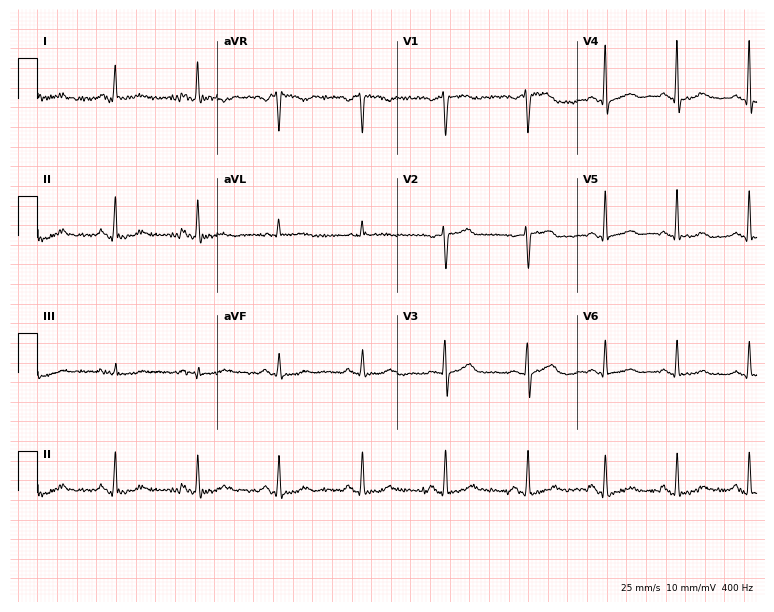
12-lead ECG (7.3-second recording at 400 Hz) from a 57-year-old female patient. Screened for six findings — first-degree AV block, right bundle branch block, left bundle branch block, sinus bradycardia, atrial fibrillation, sinus tachycardia — none is recorded.